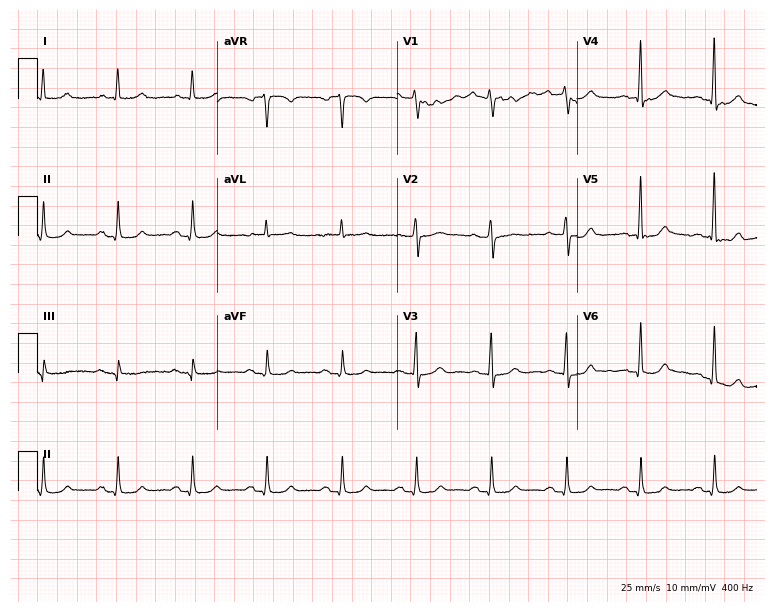
Resting 12-lead electrocardiogram (7.3-second recording at 400 Hz). Patient: an 84-year-old male. Read as a normal ECG.